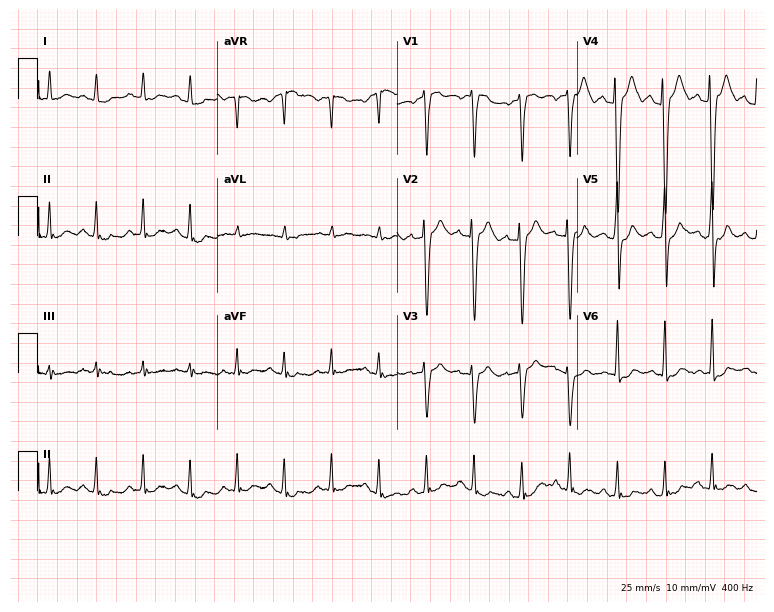
ECG (7.3-second recording at 400 Hz) — a 42-year-old woman. Screened for six findings — first-degree AV block, right bundle branch block (RBBB), left bundle branch block (LBBB), sinus bradycardia, atrial fibrillation (AF), sinus tachycardia — none is recorded. Other findings, if any, are not listed.